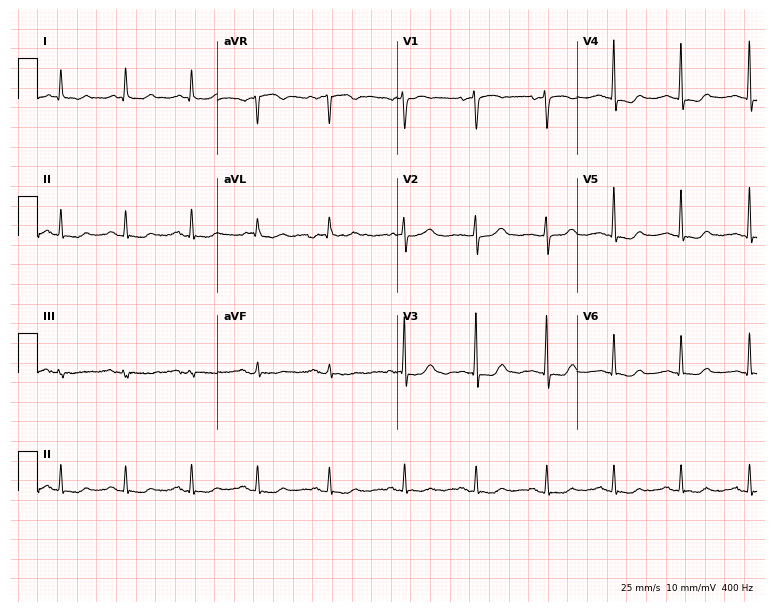
Standard 12-lead ECG recorded from a 79-year-old female patient. None of these six findings is recorded: first-degree AV block, right bundle branch block, left bundle branch block, sinus bradycardia, atrial fibrillation, sinus tachycardia.